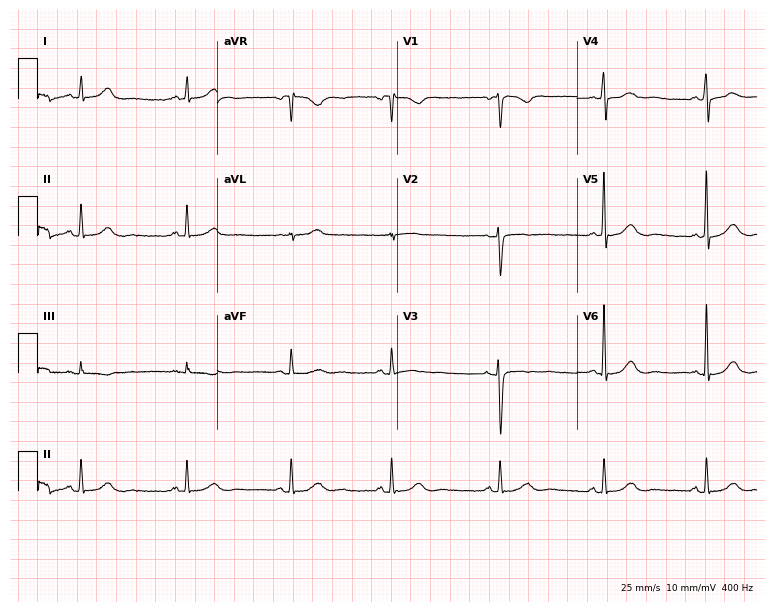
12-lead ECG from a 53-year-old woman (7.3-second recording at 400 Hz). Recorded interpretation: within normal limits.